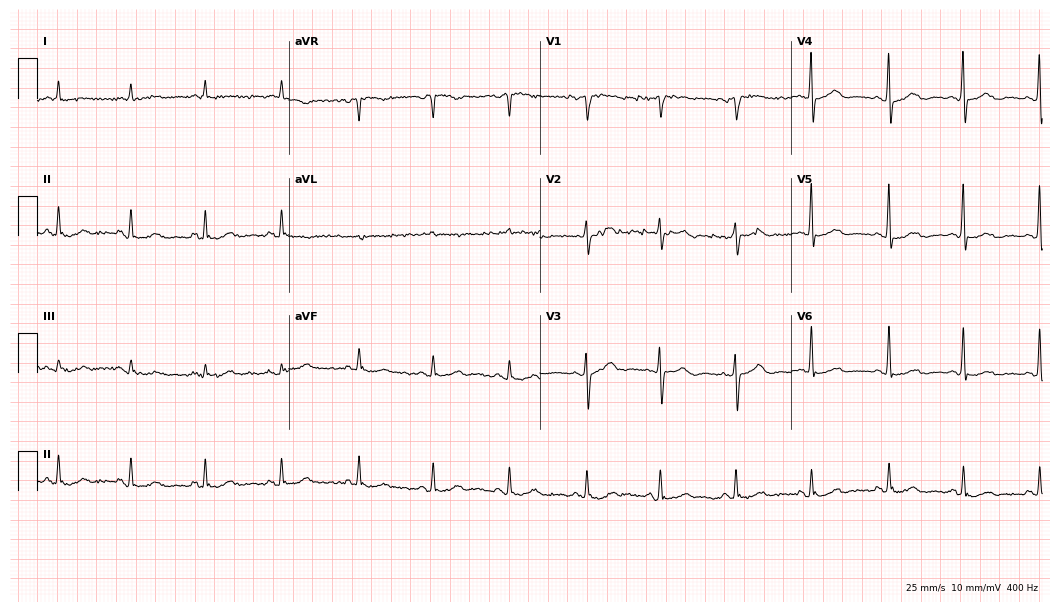
Standard 12-lead ECG recorded from a 70-year-old female (10.2-second recording at 400 Hz). None of these six findings is recorded: first-degree AV block, right bundle branch block (RBBB), left bundle branch block (LBBB), sinus bradycardia, atrial fibrillation (AF), sinus tachycardia. Only these six findings were labelled.